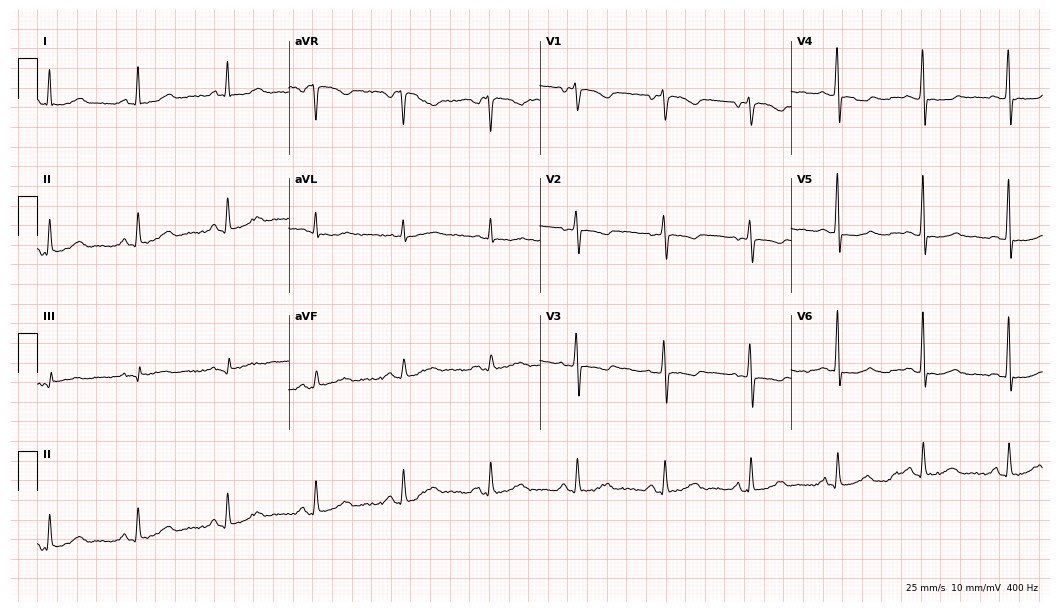
Electrocardiogram (10.2-second recording at 400 Hz), a 40-year-old female patient. Of the six screened findings (first-degree AV block, right bundle branch block, left bundle branch block, sinus bradycardia, atrial fibrillation, sinus tachycardia), none is recorded.